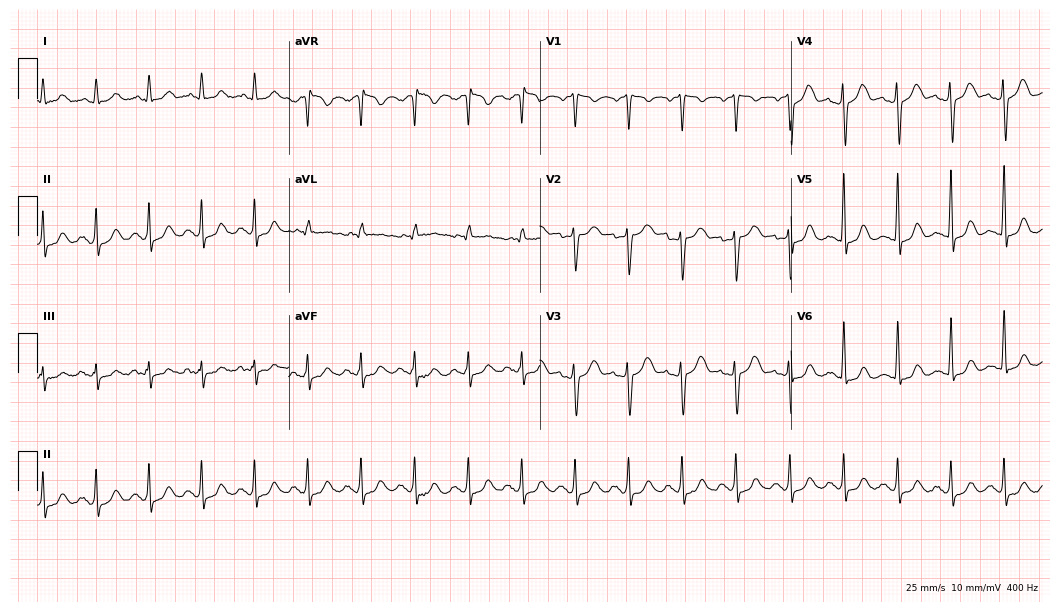
Resting 12-lead electrocardiogram. Patient: a 44-year-old woman. The tracing shows sinus tachycardia (a sinus rate of 100 beats per minute or more).